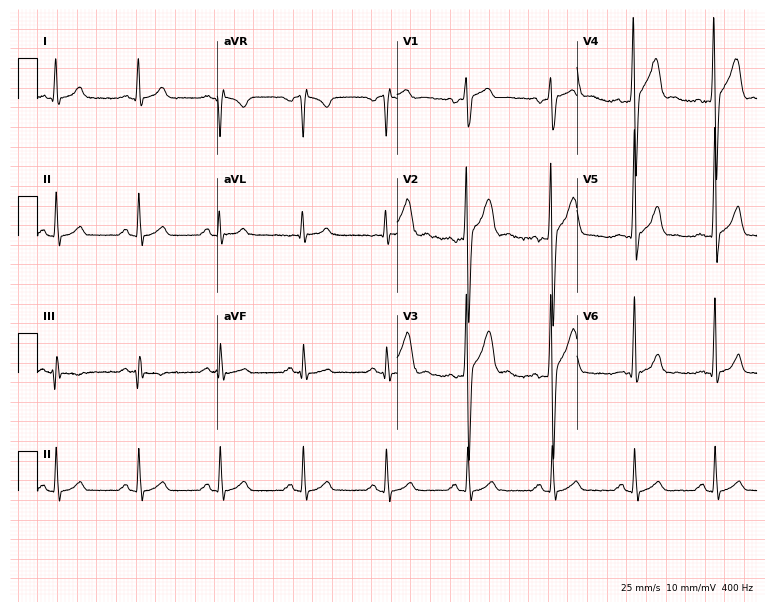
ECG — a 20-year-old male. Labelled as a normal ECG.